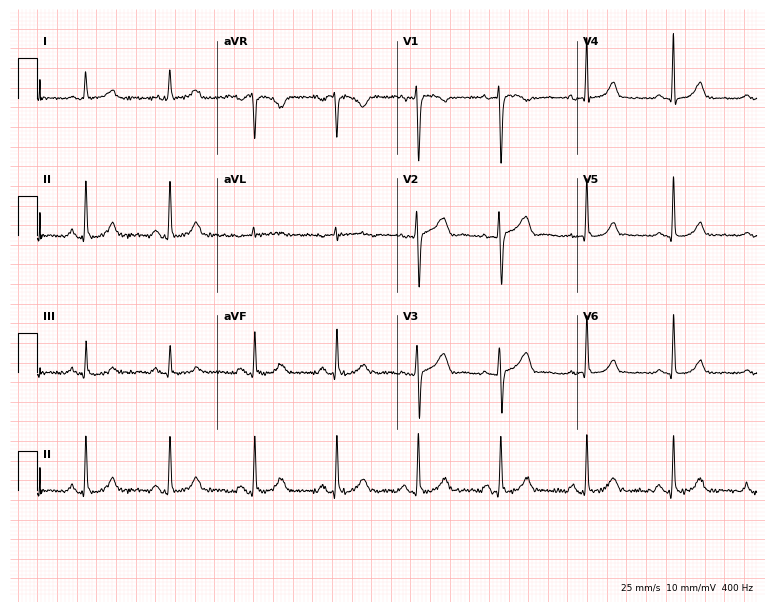
Electrocardiogram, a woman, 53 years old. Overall reading on record: normal ECG.